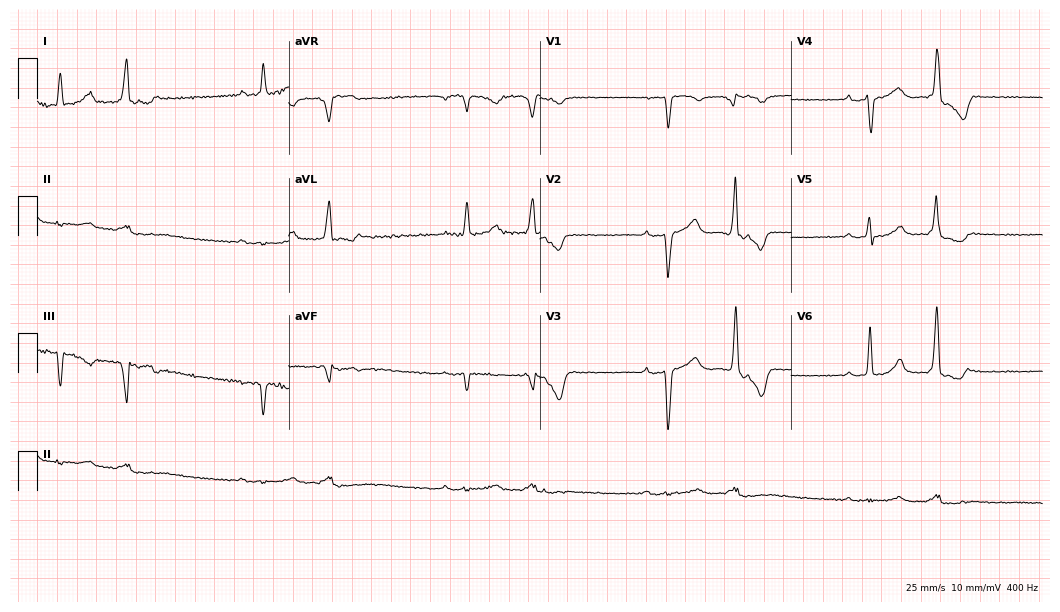
12-lead ECG from a man, 85 years old. Shows first-degree AV block.